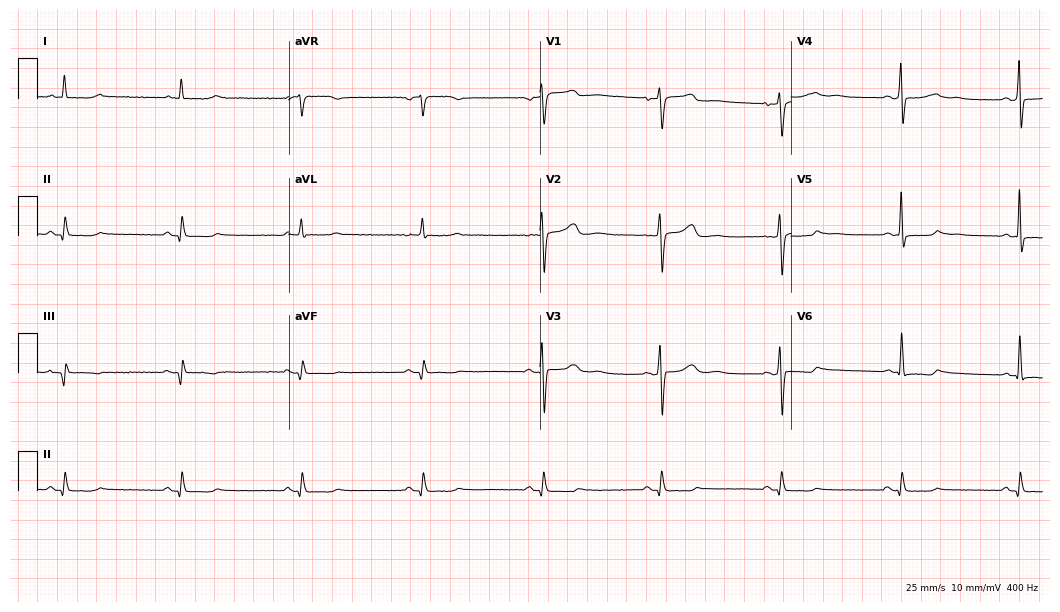
Resting 12-lead electrocardiogram (10.2-second recording at 400 Hz). Patient: a woman, 58 years old. The tracing shows sinus bradycardia (a sinus rate of 50 beats per minute or less).